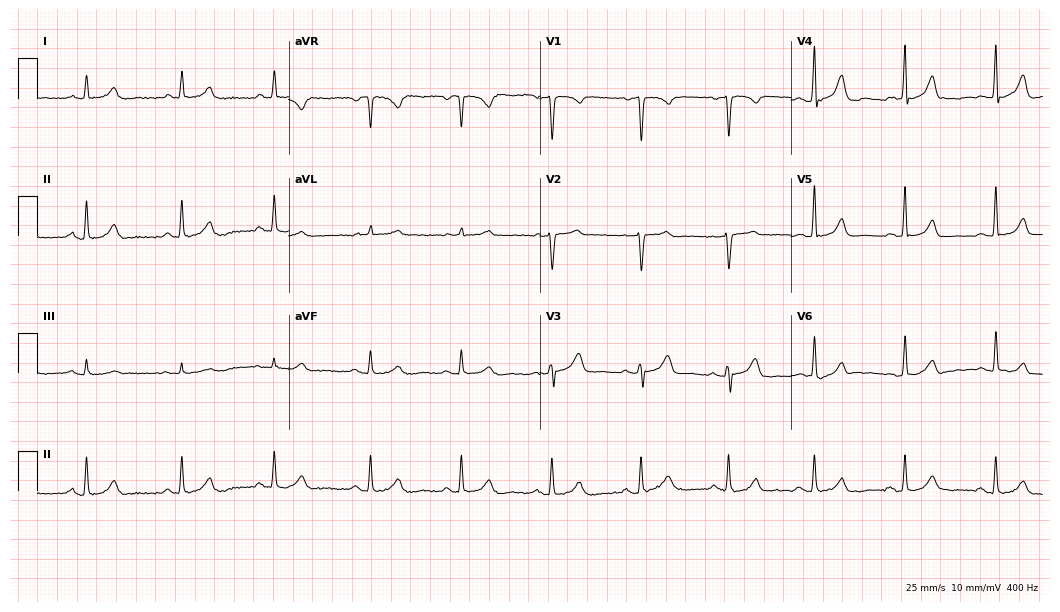
Standard 12-lead ECG recorded from a 48-year-old female patient (10.2-second recording at 400 Hz). Read as a normal ECG.